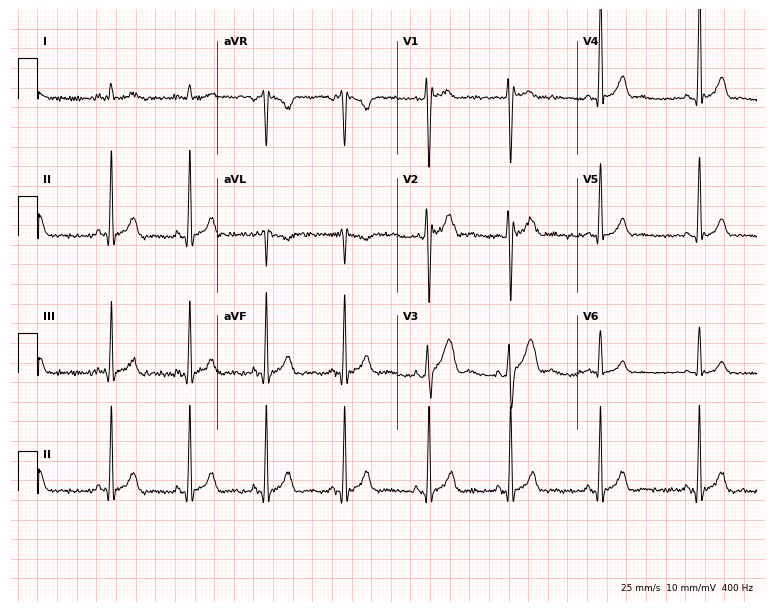
ECG — a 17-year-old male patient. Screened for six findings — first-degree AV block, right bundle branch block, left bundle branch block, sinus bradycardia, atrial fibrillation, sinus tachycardia — none is recorded.